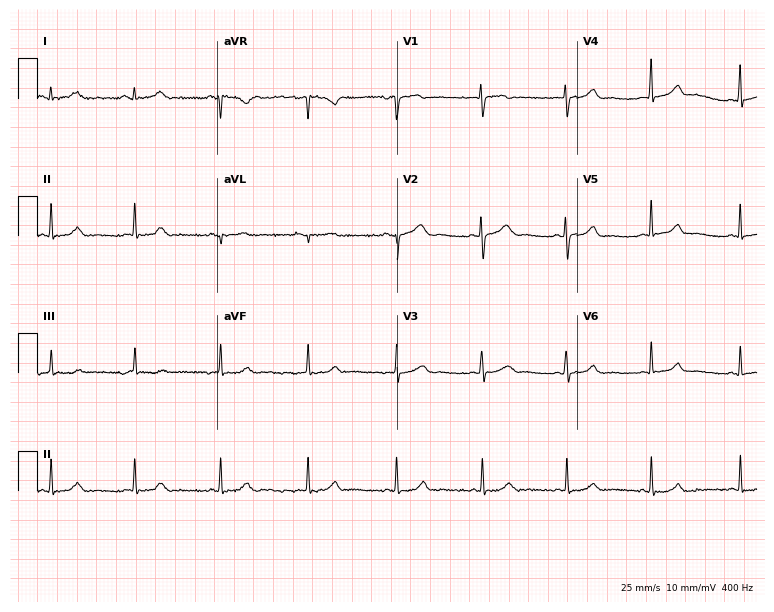
Electrocardiogram (7.3-second recording at 400 Hz), a 42-year-old female. Of the six screened findings (first-degree AV block, right bundle branch block, left bundle branch block, sinus bradycardia, atrial fibrillation, sinus tachycardia), none is recorded.